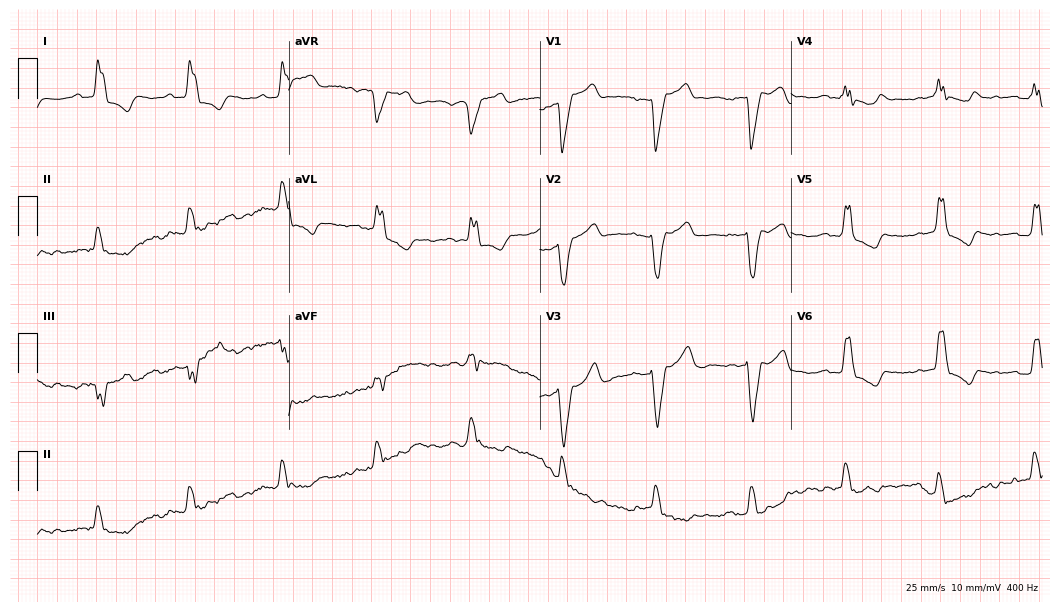
Standard 12-lead ECG recorded from a male, 68 years old. The tracing shows left bundle branch block (LBBB).